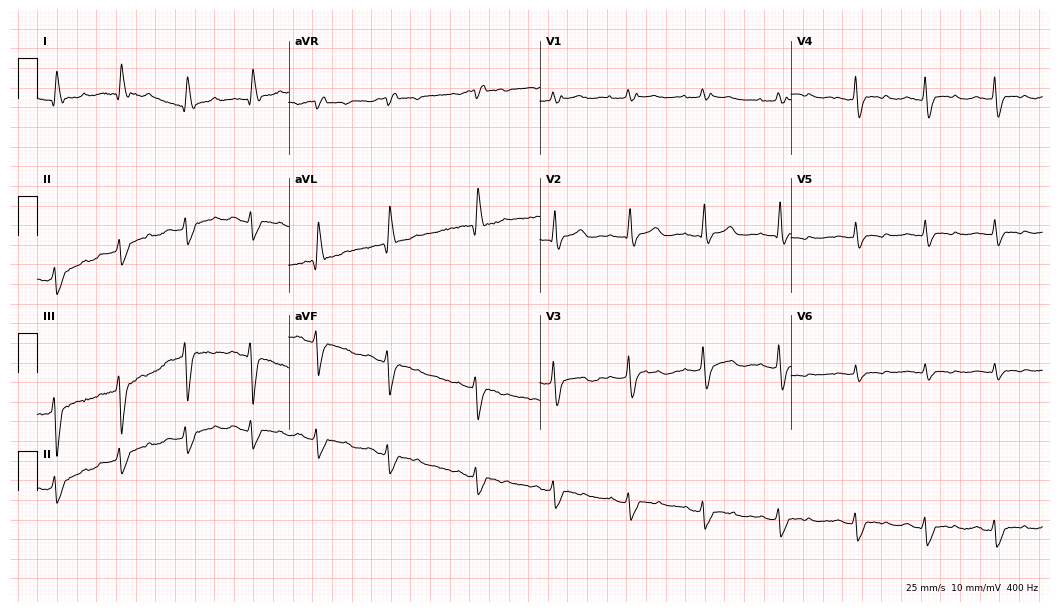
12-lead ECG (10.2-second recording at 400 Hz) from a woman, 60 years old. Screened for six findings — first-degree AV block, right bundle branch block, left bundle branch block, sinus bradycardia, atrial fibrillation, sinus tachycardia — none is recorded. Other findings, if any, are not listed.